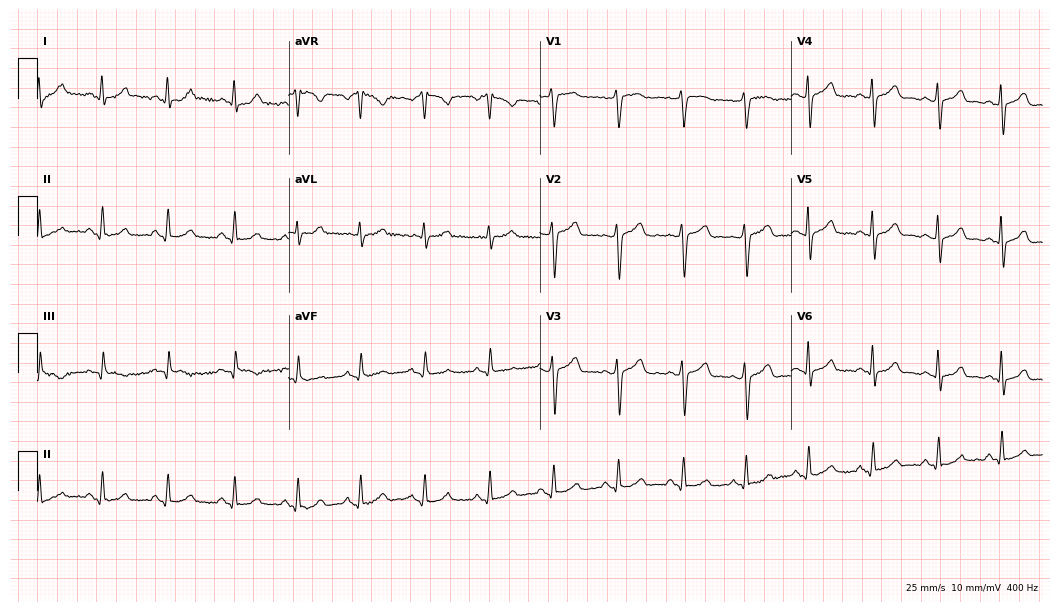
ECG (10.2-second recording at 400 Hz) — a 37-year-old female patient. Screened for six findings — first-degree AV block, right bundle branch block (RBBB), left bundle branch block (LBBB), sinus bradycardia, atrial fibrillation (AF), sinus tachycardia — none is recorded. Other findings, if any, are not listed.